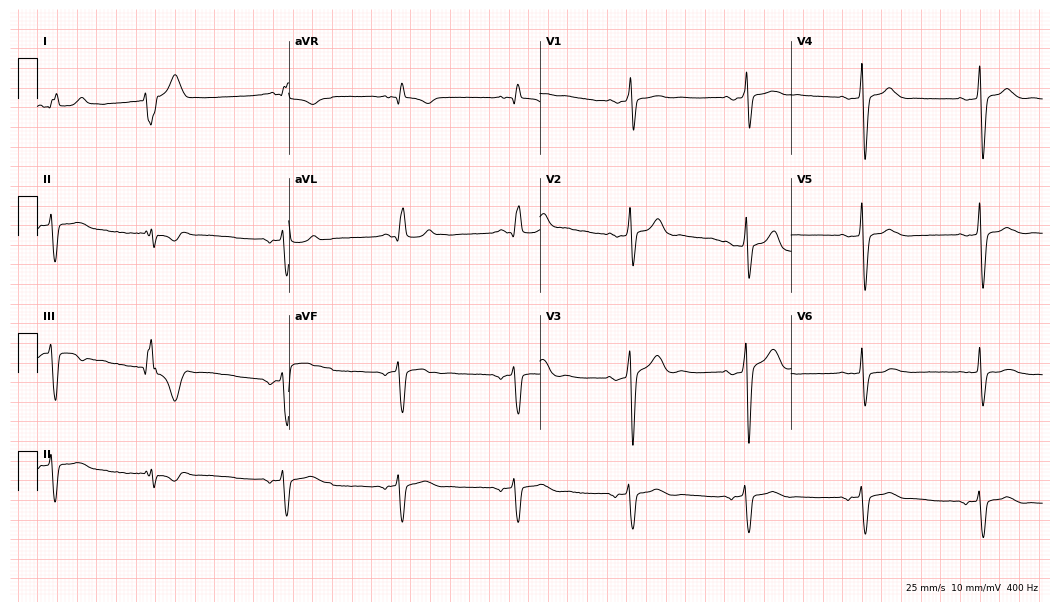
12-lead ECG from a male patient, 63 years old. No first-degree AV block, right bundle branch block, left bundle branch block, sinus bradycardia, atrial fibrillation or sinus tachycardia recorded for this tracing.